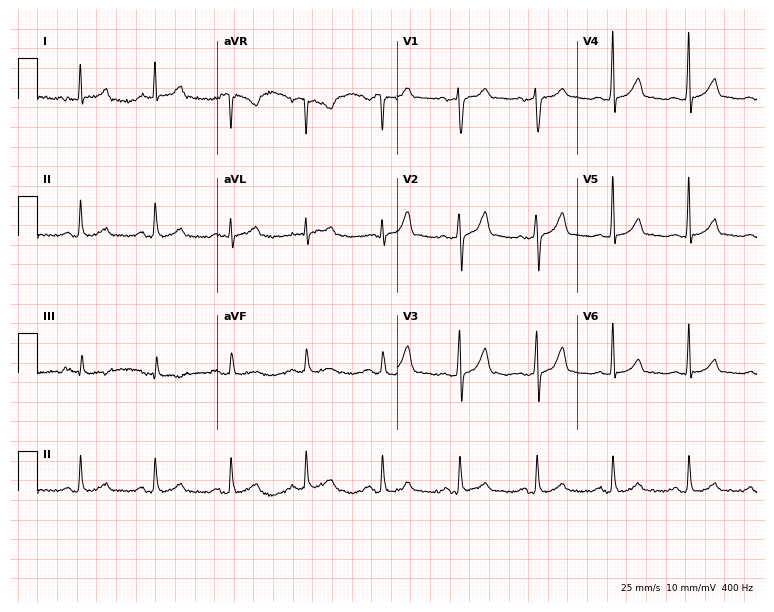
12-lead ECG (7.3-second recording at 400 Hz) from a male patient, 46 years old. Labelled as a normal ECG.